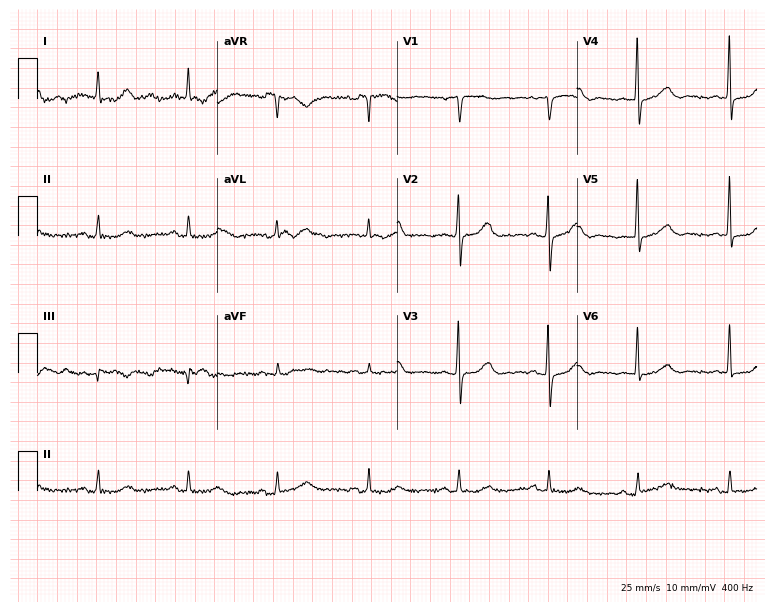
12-lead ECG from a 72-year-old woman (7.3-second recording at 400 Hz). Recorded interpretation: within normal limits.